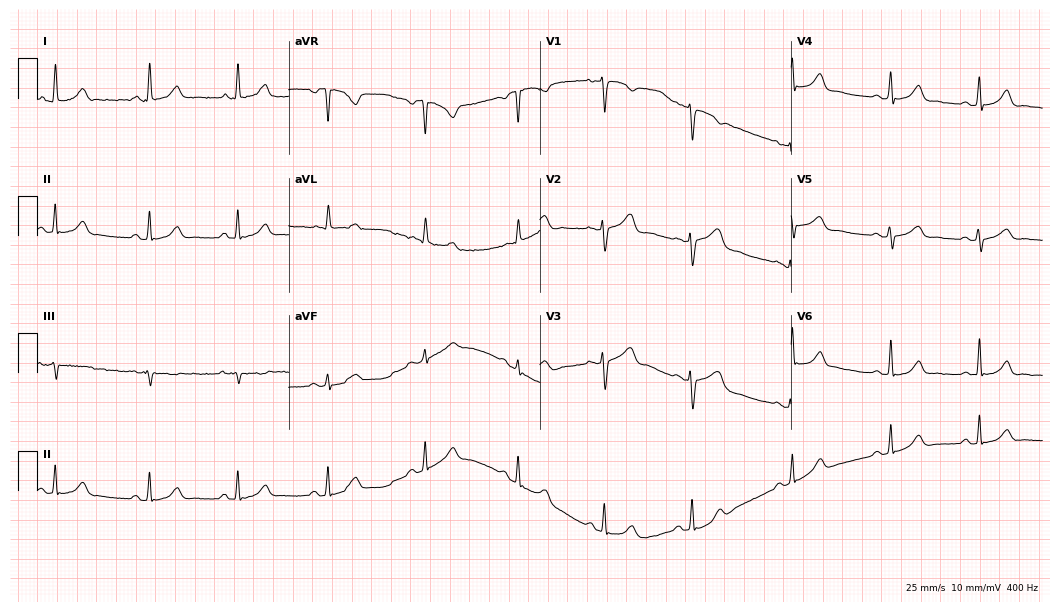
ECG — a 33-year-old female patient. Labelled as a normal ECG.